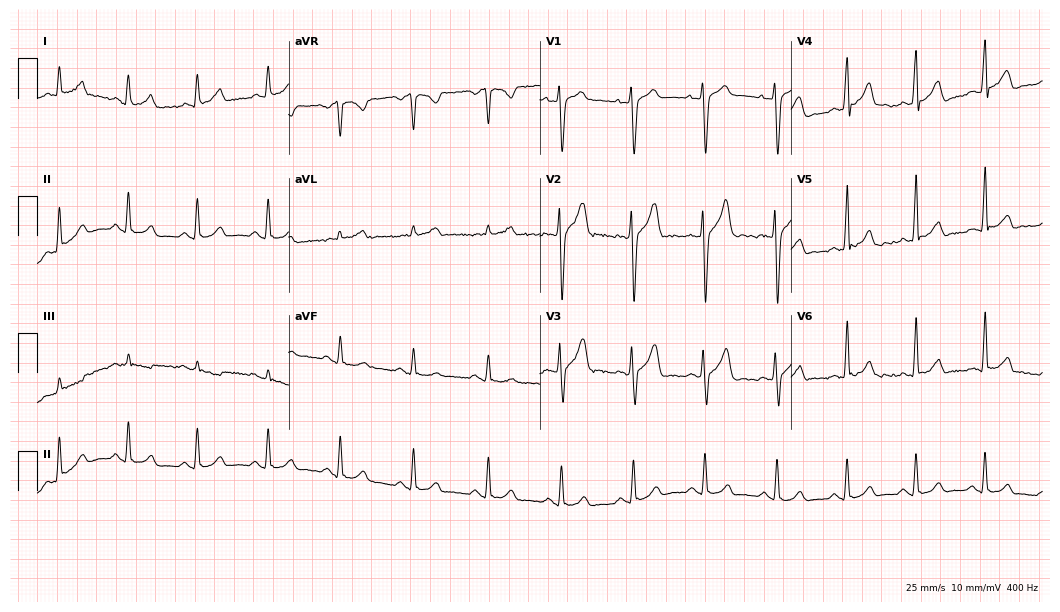
12-lead ECG from a 24-year-old male (10.2-second recording at 400 Hz). No first-degree AV block, right bundle branch block (RBBB), left bundle branch block (LBBB), sinus bradycardia, atrial fibrillation (AF) or sinus tachycardia recorded for this tracing.